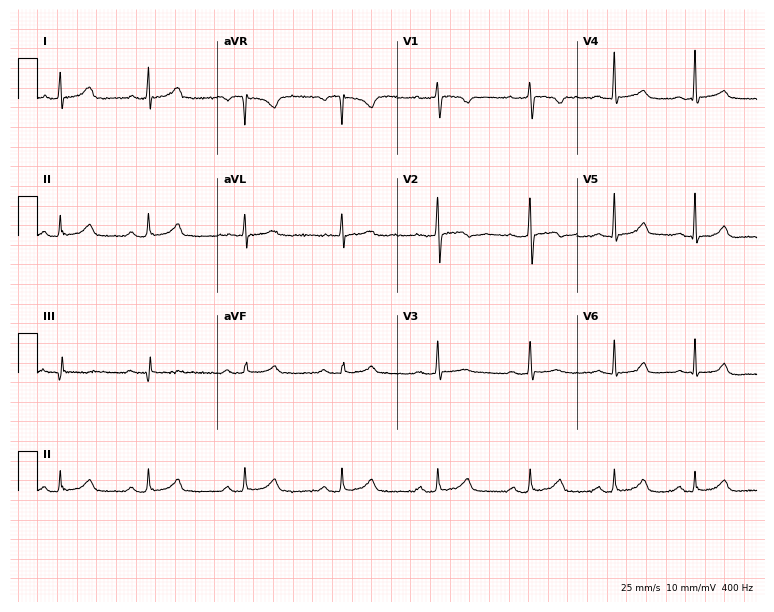
12-lead ECG from a female, 39 years old (7.3-second recording at 400 Hz). Recorded interpretation: within normal limits.